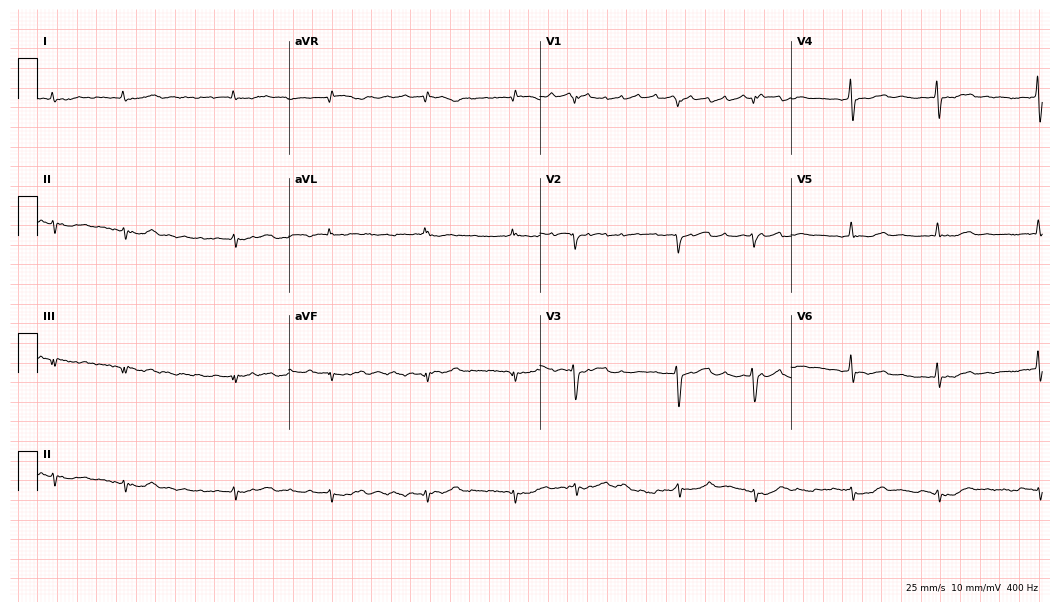
Resting 12-lead electrocardiogram. Patient: a female, 69 years old. The tracing shows atrial fibrillation.